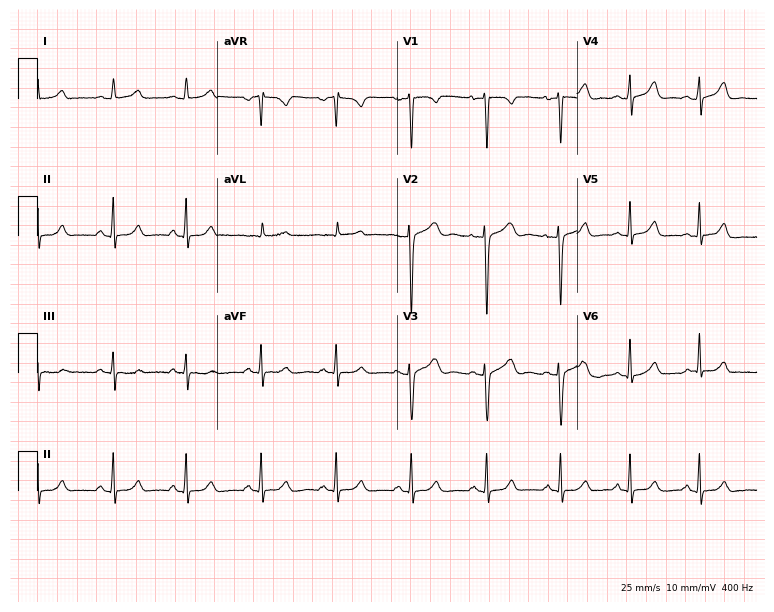
Electrocardiogram (7.3-second recording at 400 Hz), a woman, 29 years old. Overall reading on record: normal ECG.